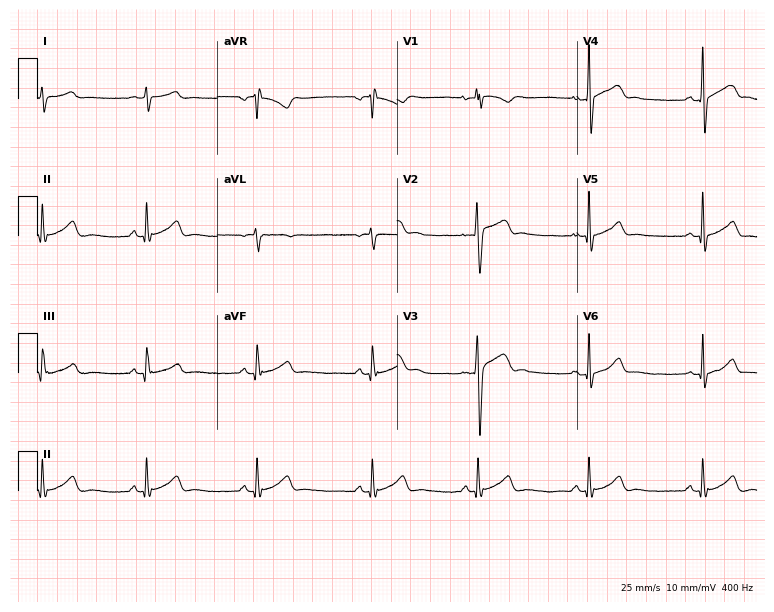
Standard 12-lead ECG recorded from a 37-year-old male patient (7.3-second recording at 400 Hz). Read as a normal ECG.